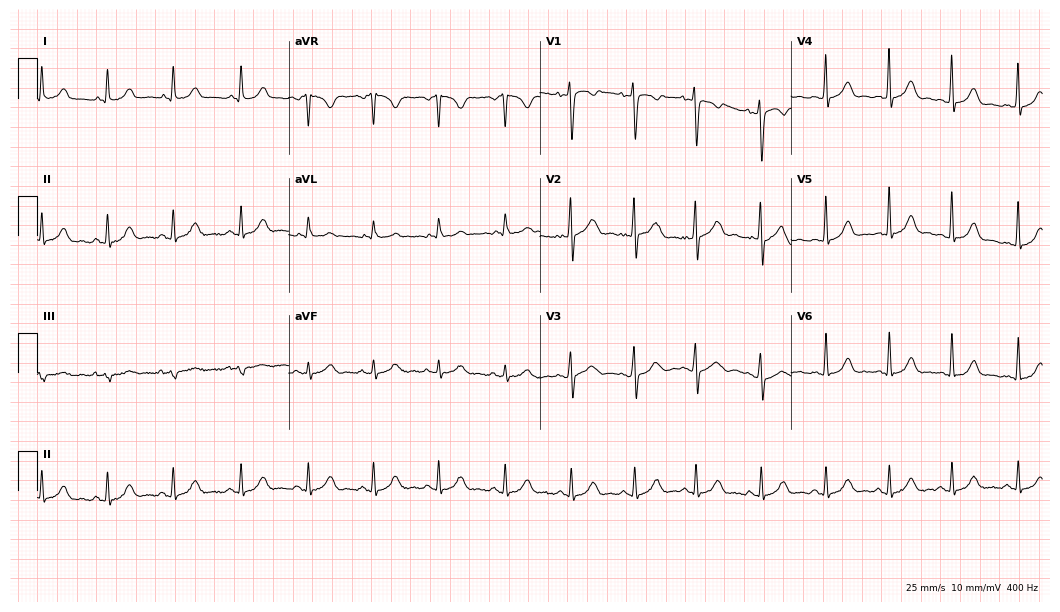
ECG — a female, 20 years old. Labelled as a normal ECG.